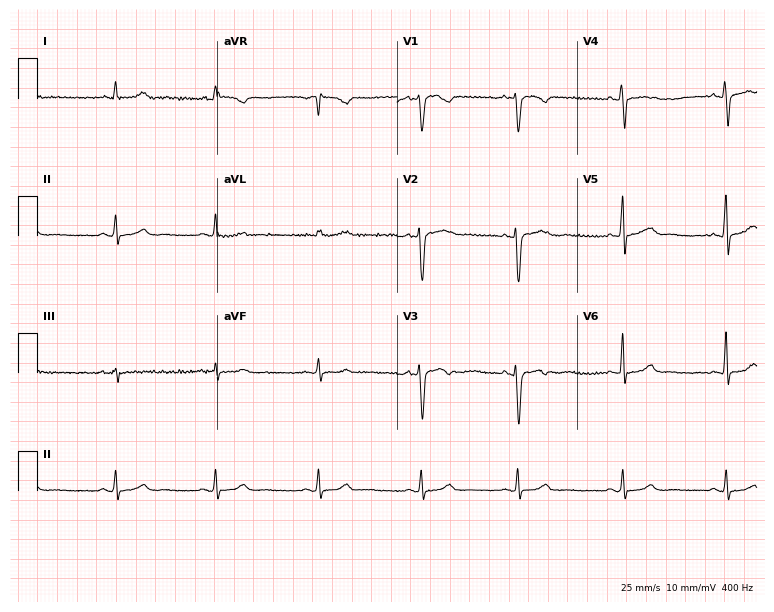
Resting 12-lead electrocardiogram (7.3-second recording at 400 Hz). Patient: a woman, 45 years old. None of these six findings is recorded: first-degree AV block, right bundle branch block (RBBB), left bundle branch block (LBBB), sinus bradycardia, atrial fibrillation (AF), sinus tachycardia. Other findings, if any, are not listed.